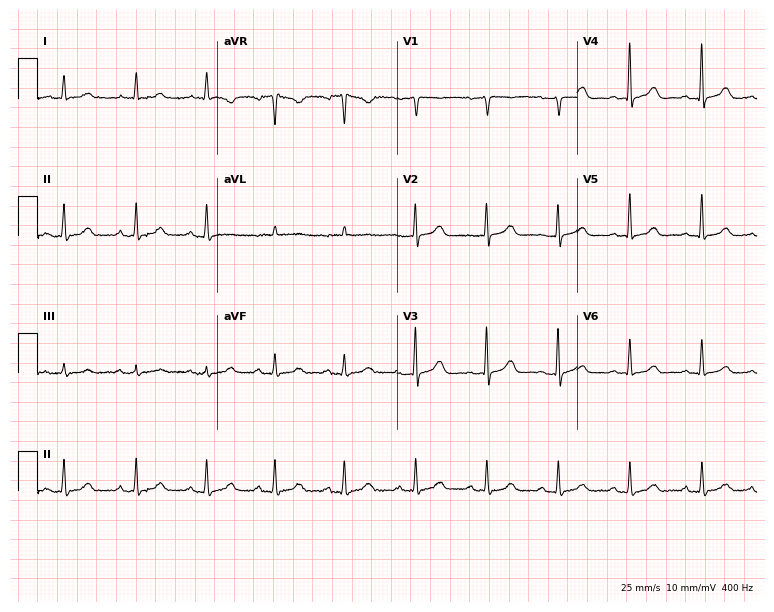
Resting 12-lead electrocardiogram. Patient: a woman, 79 years old. Read as a normal ECG.